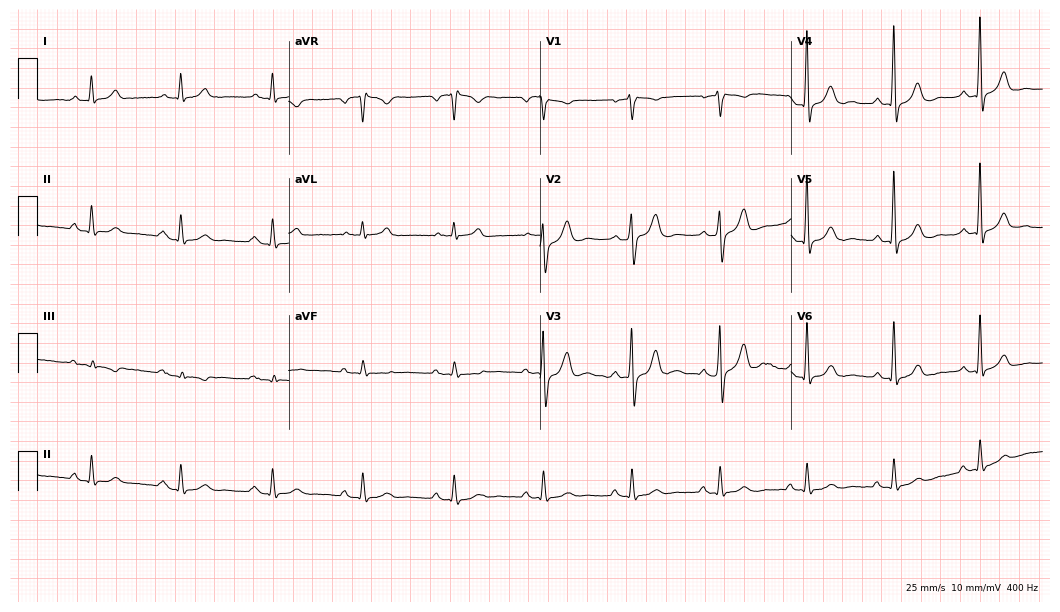
Resting 12-lead electrocardiogram. Patient: a 64-year-old man. Read as a normal ECG.